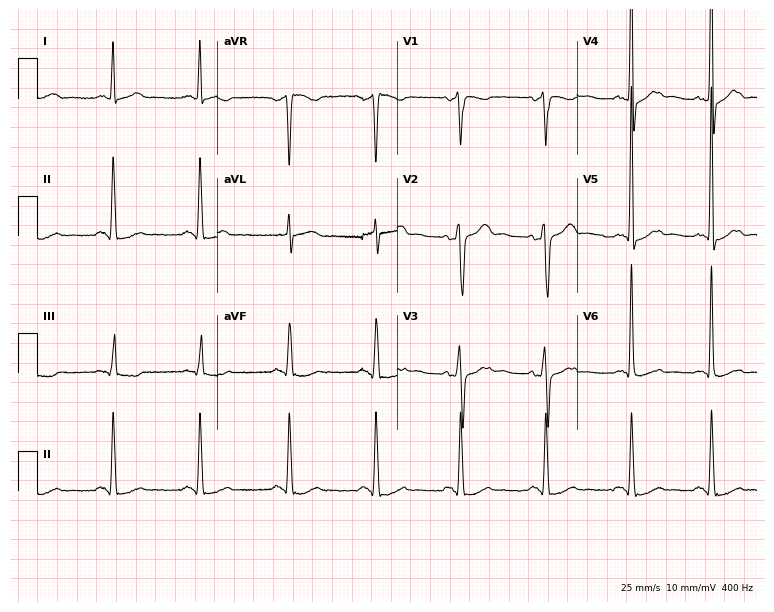
ECG — a male patient, 43 years old. Screened for six findings — first-degree AV block, right bundle branch block (RBBB), left bundle branch block (LBBB), sinus bradycardia, atrial fibrillation (AF), sinus tachycardia — none is recorded. Other findings, if any, are not listed.